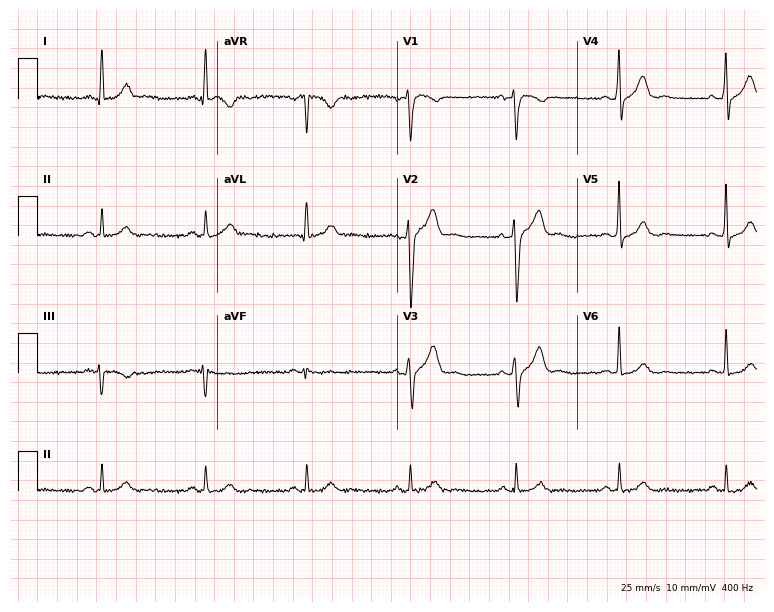
Standard 12-lead ECG recorded from a male, 47 years old (7.3-second recording at 400 Hz). None of these six findings is recorded: first-degree AV block, right bundle branch block, left bundle branch block, sinus bradycardia, atrial fibrillation, sinus tachycardia. Other findings, if any, are not listed.